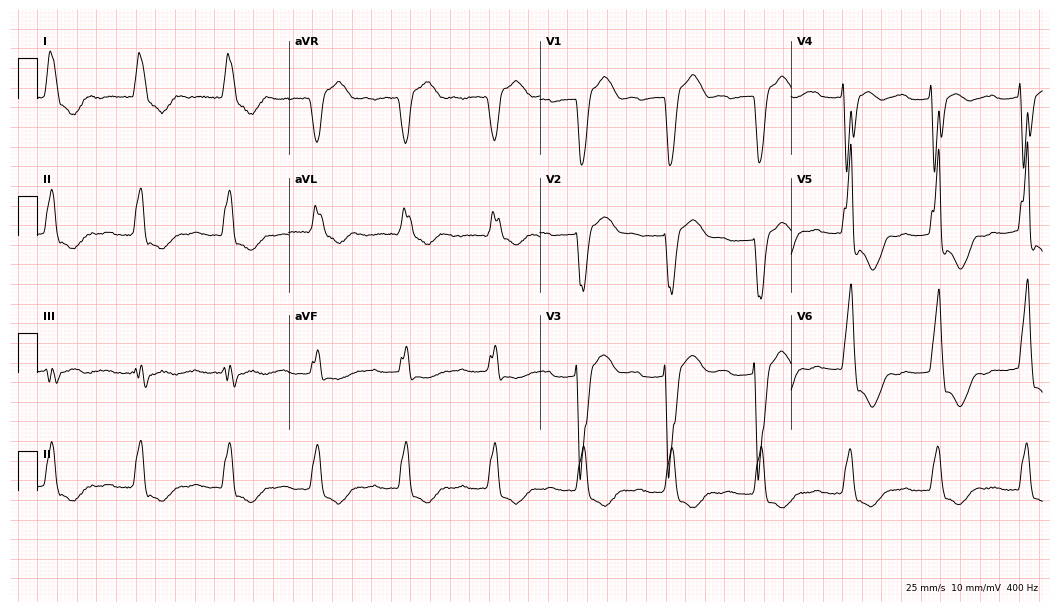
Standard 12-lead ECG recorded from a 78-year-old female (10.2-second recording at 400 Hz). The tracing shows first-degree AV block, left bundle branch block.